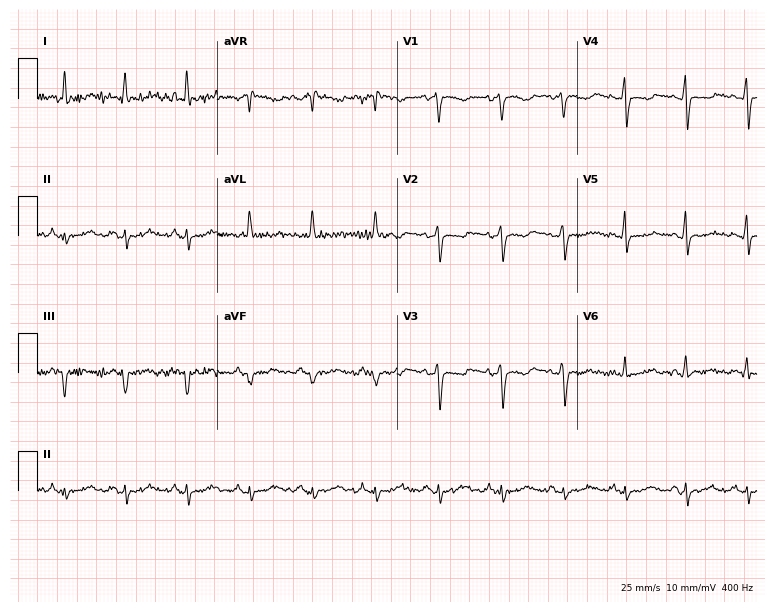
Standard 12-lead ECG recorded from a female, 54 years old. None of these six findings is recorded: first-degree AV block, right bundle branch block (RBBB), left bundle branch block (LBBB), sinus bradycardia, atrial fibrillation (AF), sinus tachycardia. Only these six findings were labelled.